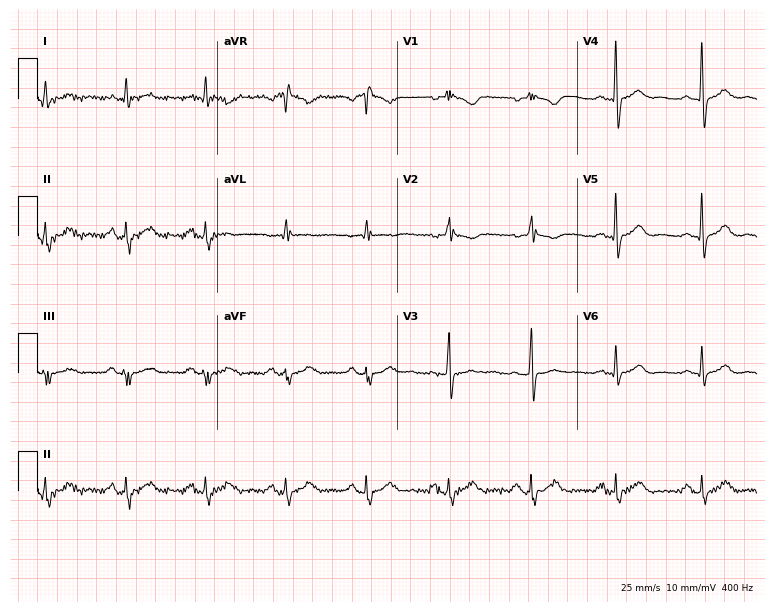
12-lead ECG from a male, 53 years old (7.3-second recording at 400 Hz). No first-degree AV block, right bundle branch block, left bundle branch block, sinus bradycardia, atrial fibrillation or sinus tachycardia recorded for this tracing.